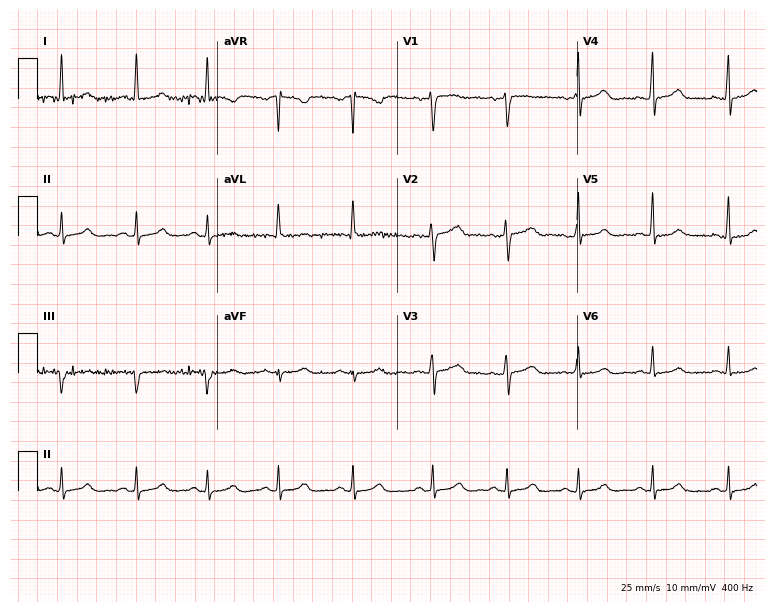
12-lead ECG from a woman, 56 years old. Labelled as a normal ECG.